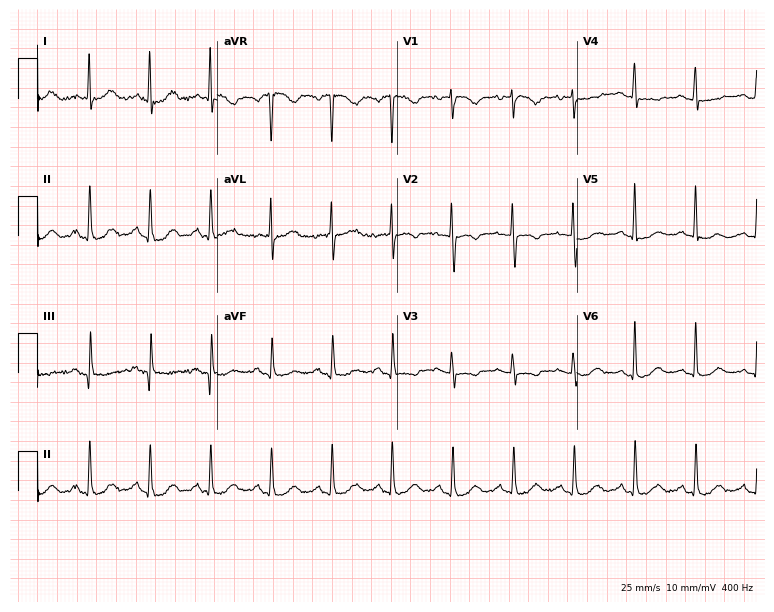
ECG — a 72-year-old woman. Labelled as a normal ECG.